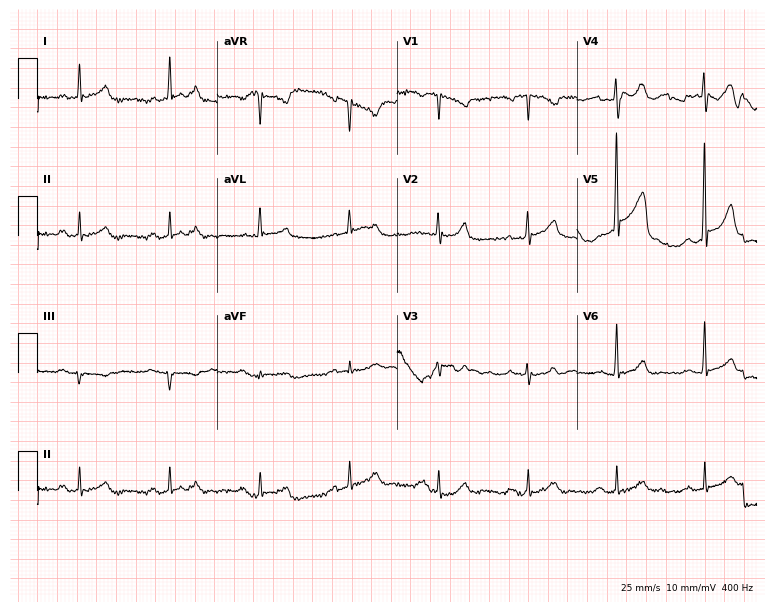
12-lead ECG from a 76-year-old male patient. Recorded interpretation: within normal limits.